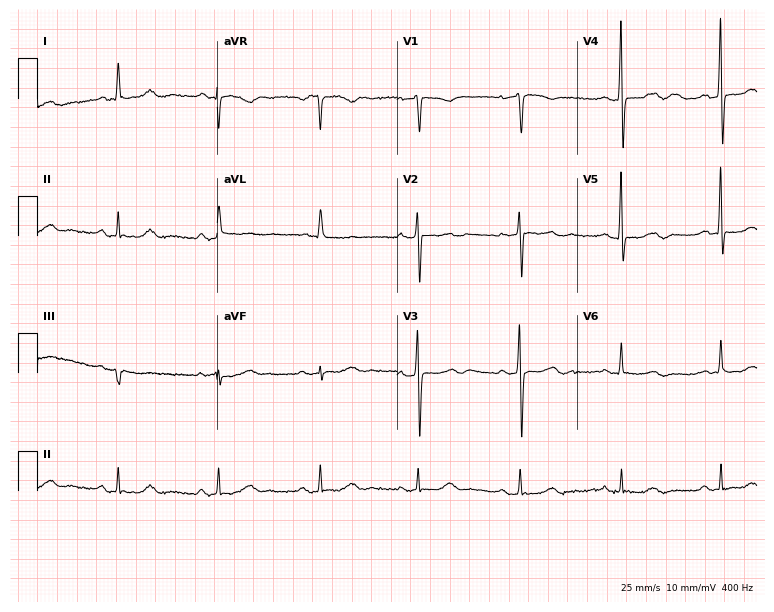
12-lead ECG from a 77-year-old woman. Recorded interpretation: within normal limits.